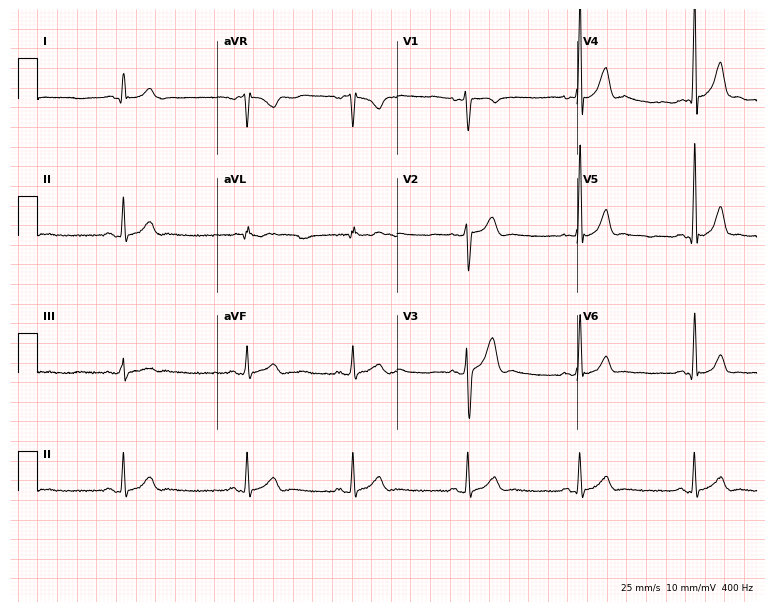
Electrocardiogram (7.3-second recording at 400 Hz), a man, 28 years old. Overall reading on record: normal ECG.